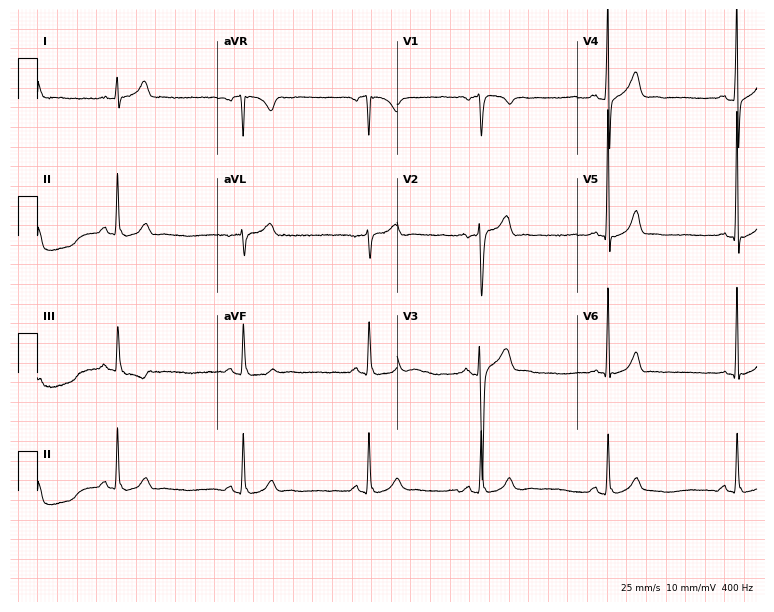
Standard 12-lead ECG recorded from a 36-year-old male patient. The tracing shows sinus bradycardia (a sinus rate of 50 beats per minute or less).